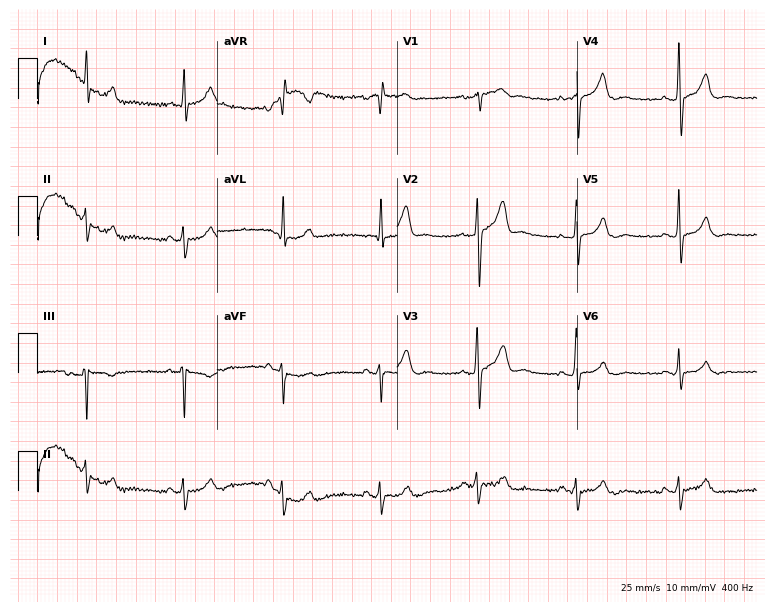
ECG — a man, 53 years old. Screened for six findings — first-degree AV block, right bundle branch block (RBBB), left bundle branch block (LBBB), sinus bradycardia, atrial fibrillation (AF), sinus tachycardia — none is recorded.